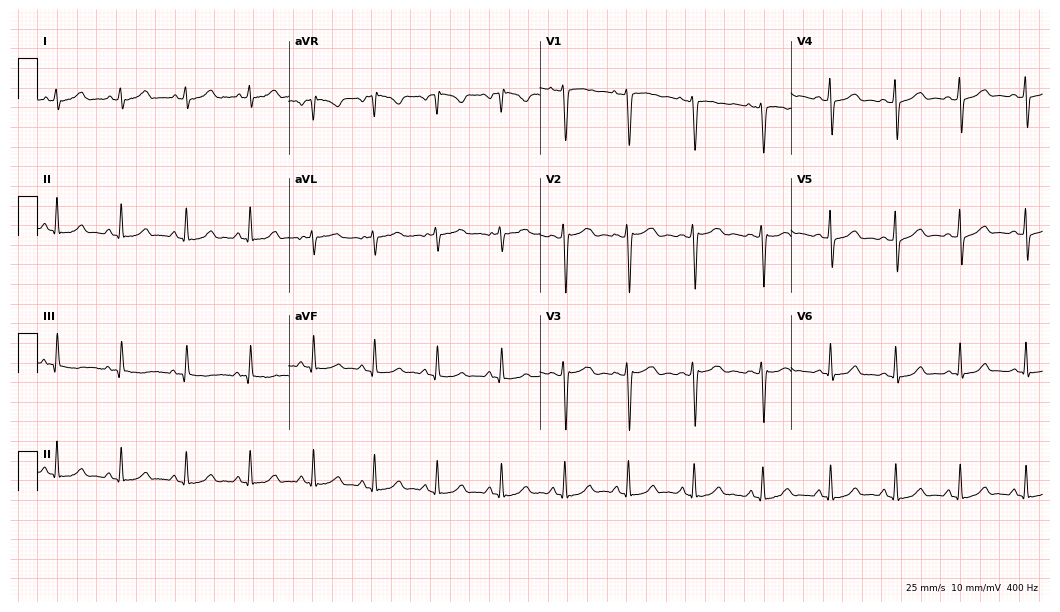
12-lead ECG (10.2-second recording at 400 Hz) from a 25-year-old female patient. Labelled as a normal ECG.